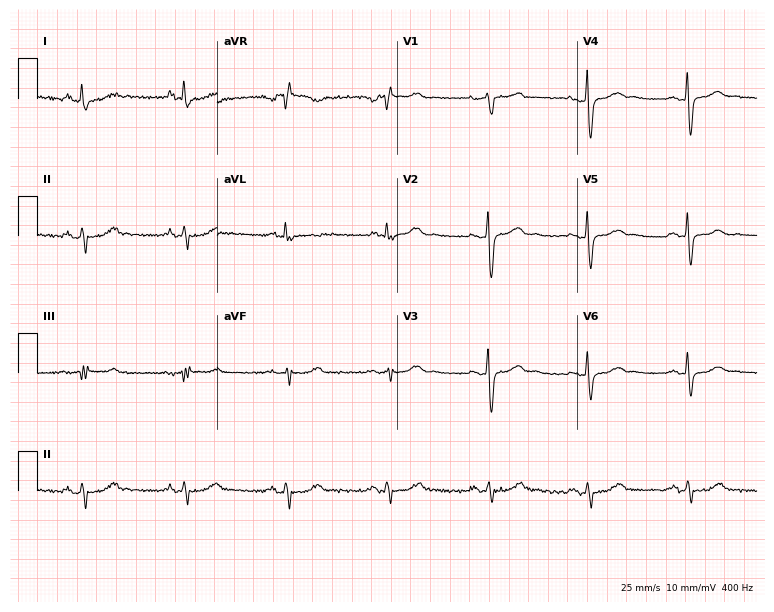
Electrocardiogram (7.3-second recording at 400 Hz), a 57-year-old female patient. Of the six screened findings (first-degree AV block, right bundle branch block, left bundle branch block, sinus bradycardia, atrial fibrillation, sinus tachycardia), none is recorded. Findings outside these six are not listed.